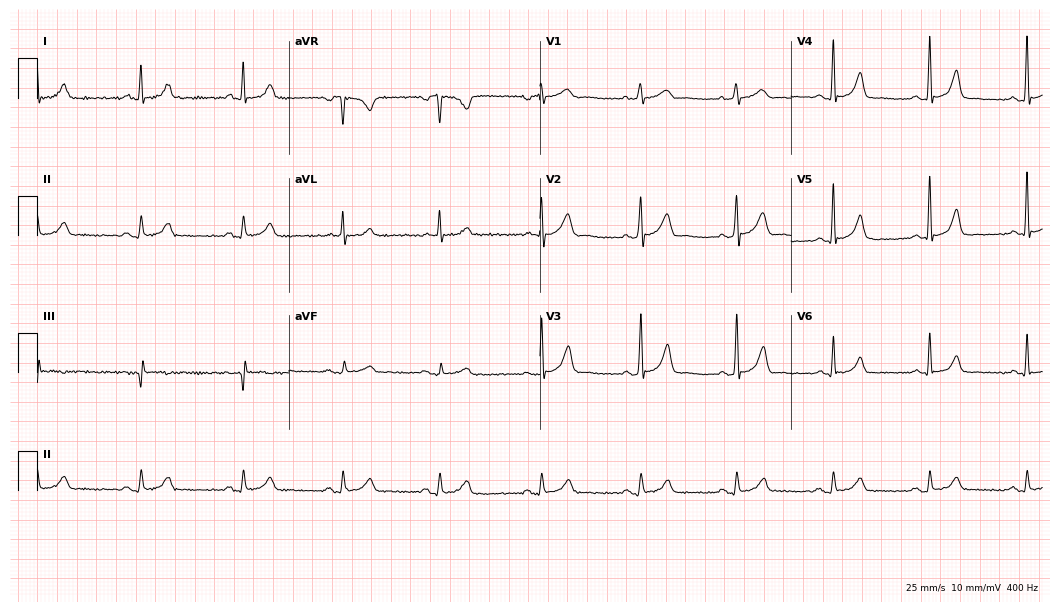
12-lead ECG from a man, 51 years old (10.2-second recording at 400 Hz). No first-degree AV block, right bundle branch block, left bundle branch block, sinus bradycardia, atrial fibrillation or sinus tachycardia recorded for this tracing.